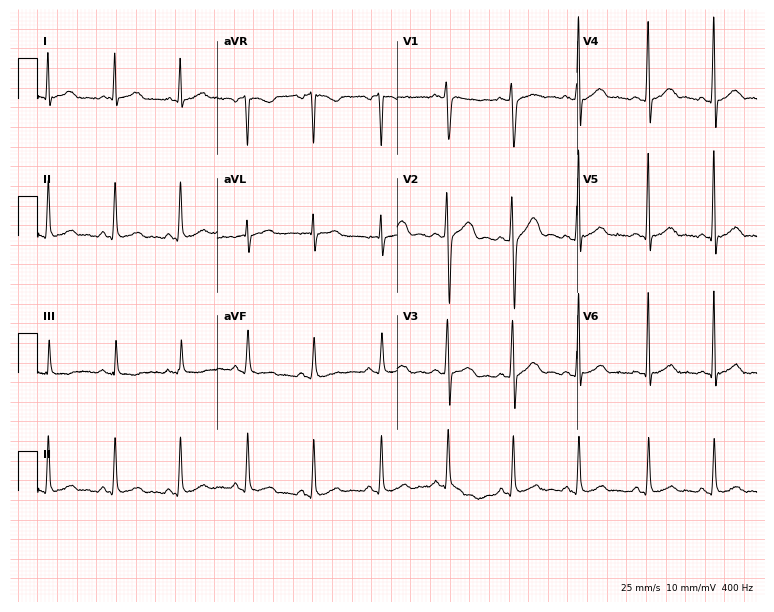
12-lead ECG from a male patient, 24 years old. Labelled as a normal ECG.